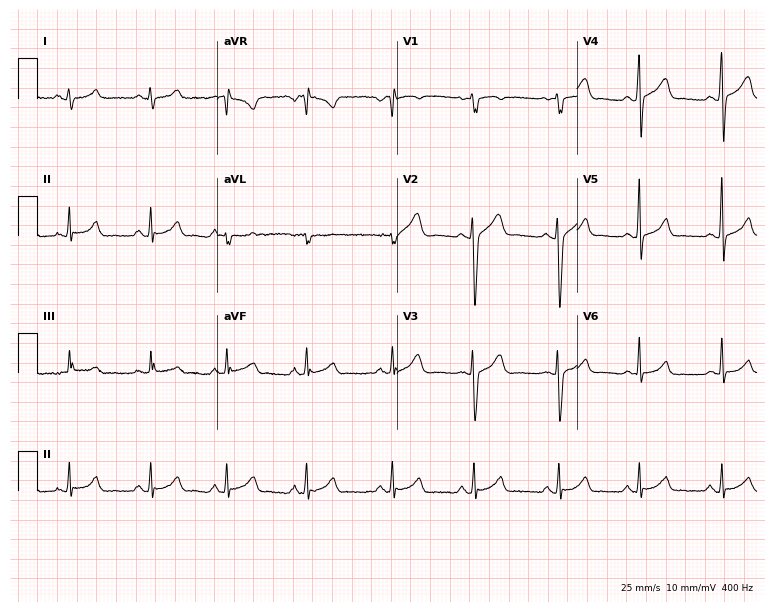
ECG (7.3-second recording at 400 Hz) — a 17-year-old male patient. Labelled as a normal ECG.